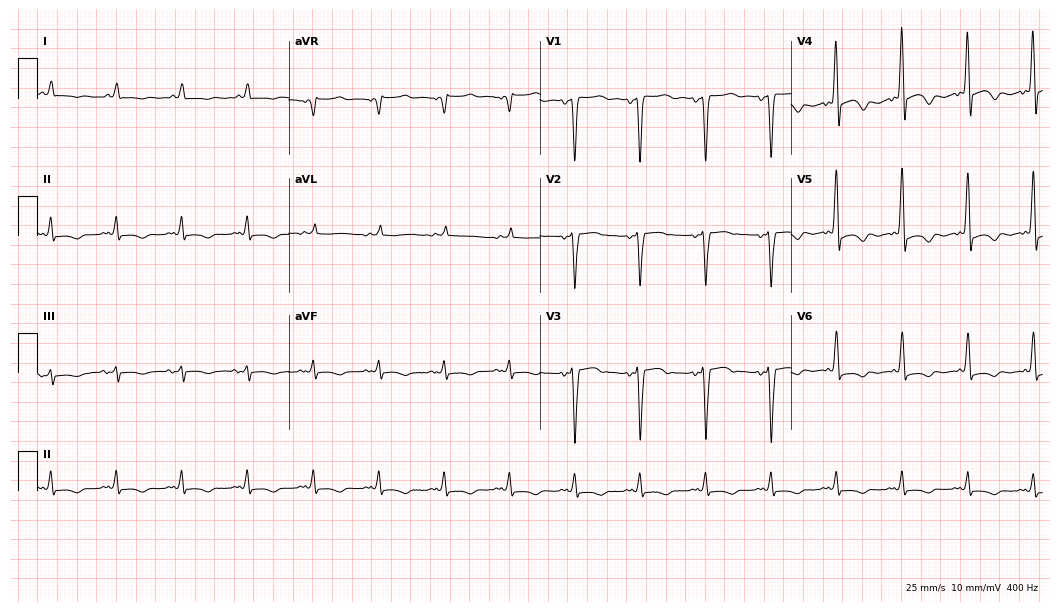
Standard 12-lead ECG recorded from a male, 84 years old. None of these six findings is recorded: first-degree AV block, right bundle branch block, left bundle branch block, sinus bradycardia, atrial fibrillation, sinus tachycardia.